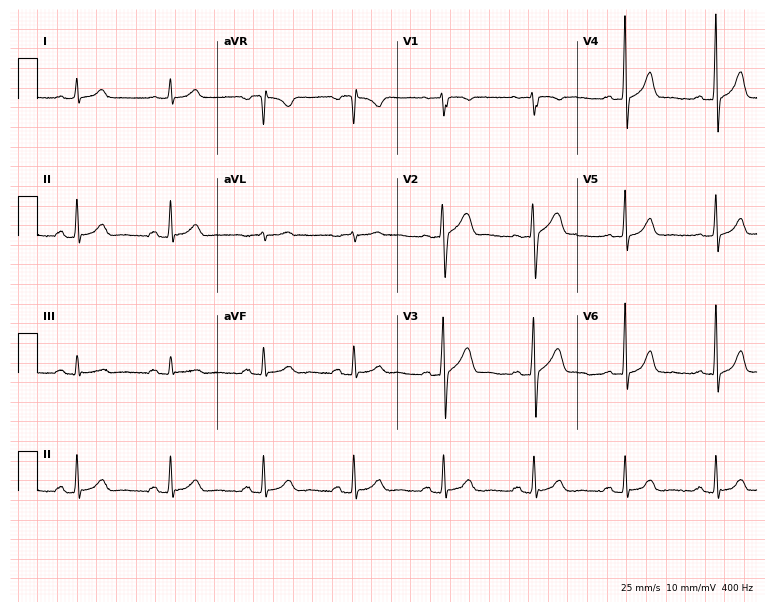
12-lead ECG (7.3-second recording at 400 Hz) from a male patient, 60 years old. Labelled as a normal ECG.